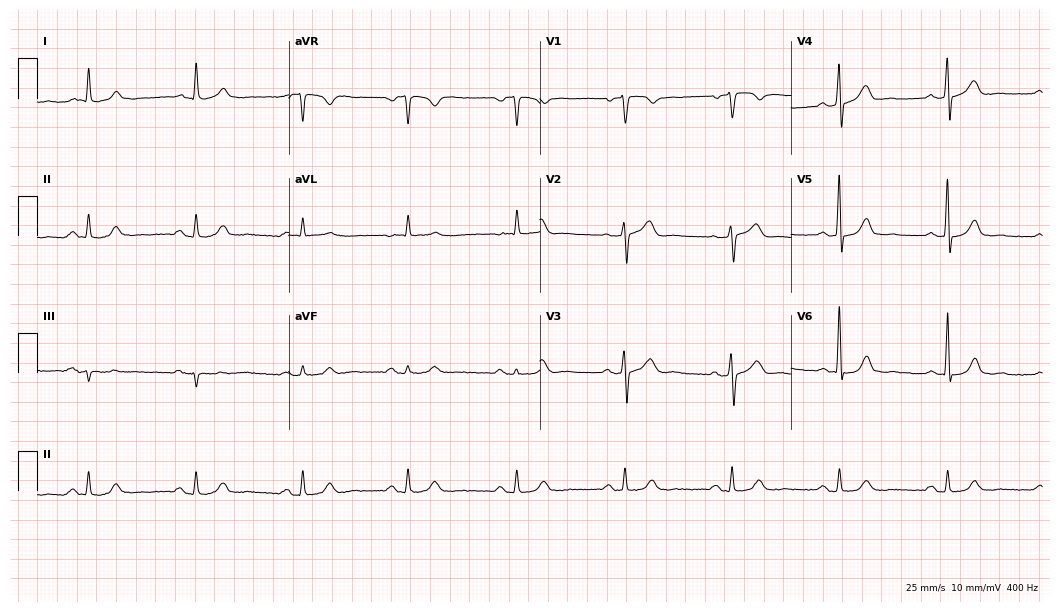
Electrocardiogram (10.2-second recording at 400 Hz), a male patient, 67 years old. Overall reading on record: normal ECG.